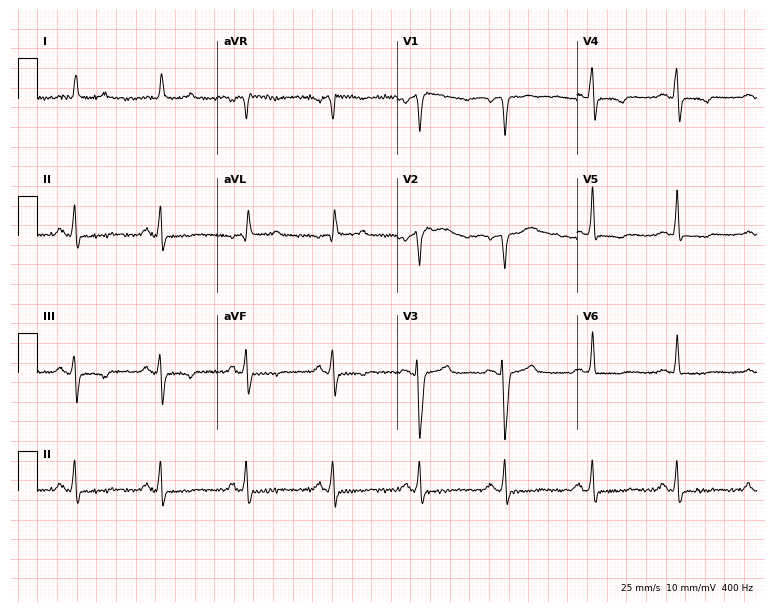
12-lead ECG from a 77-year-old woman. No first-degree AV block, right bundle branch block, left bundle branch block, sinus bradycardia, atrial fibrillation or sinus tachycardia recorded for this tracing.